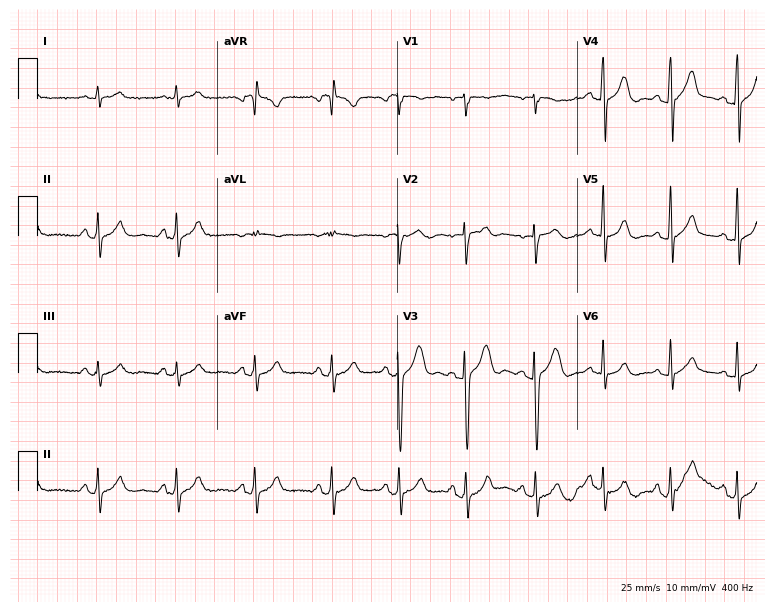
12-lead ECG (7.3-second recording at 400 Hz) from a 45-year-old male. Screened for six findings — first-degree AV block, right bundle branch block, left bundle branch block, sinus bradycardia, atrial fibrillation, sinus tachycardia — none is recorded.